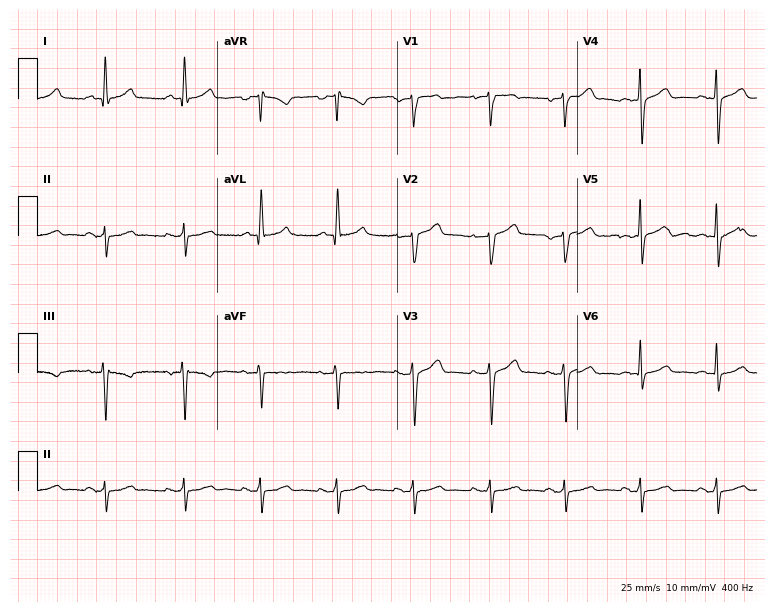
Standard 12-lead ECG recorded from a man, 58 years old (7.3-second recording at 400 Hz). None of these six findings is recorded: first-degree AV block, right bundle branch block (RBBB), left bundle branch block (LBBB), sinus bradycardia, atrial fibrillation (AF), sinus tachycardia. Only these six findings were labelled.